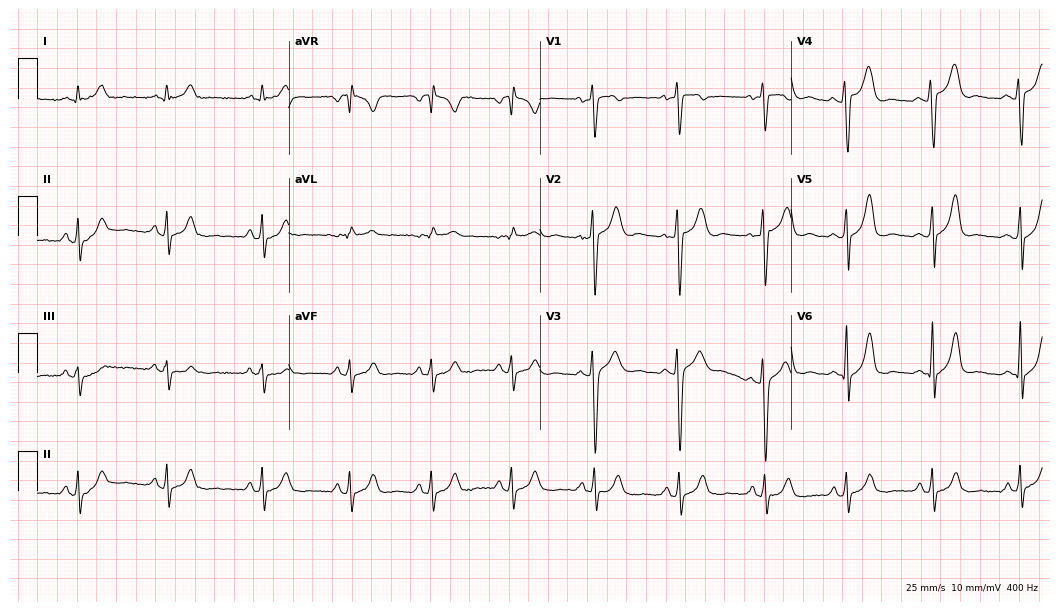
Electrocardiogram (10.2-second recording at 400 Hz), a 27-year-old male. Overall reading on record: normal ECG.